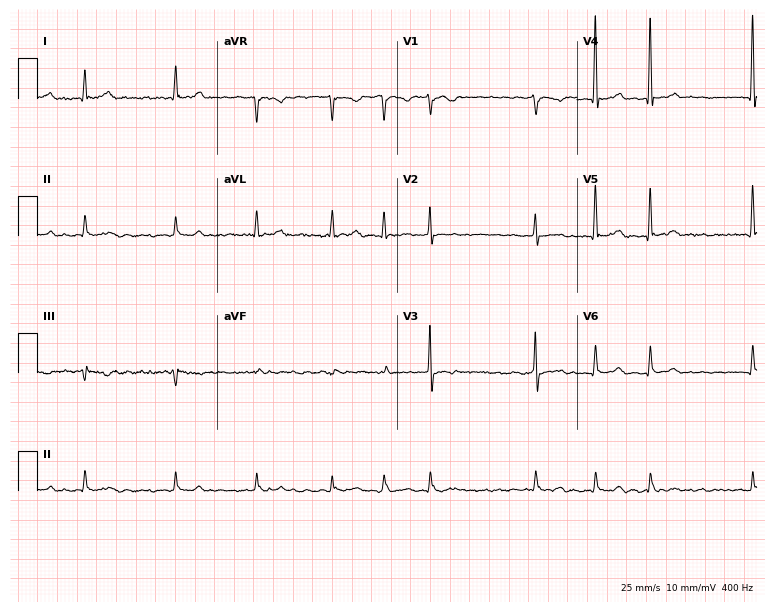
12-lead ECG from a female patient, 73 years old. Findings include atrial fibrillation (AF).